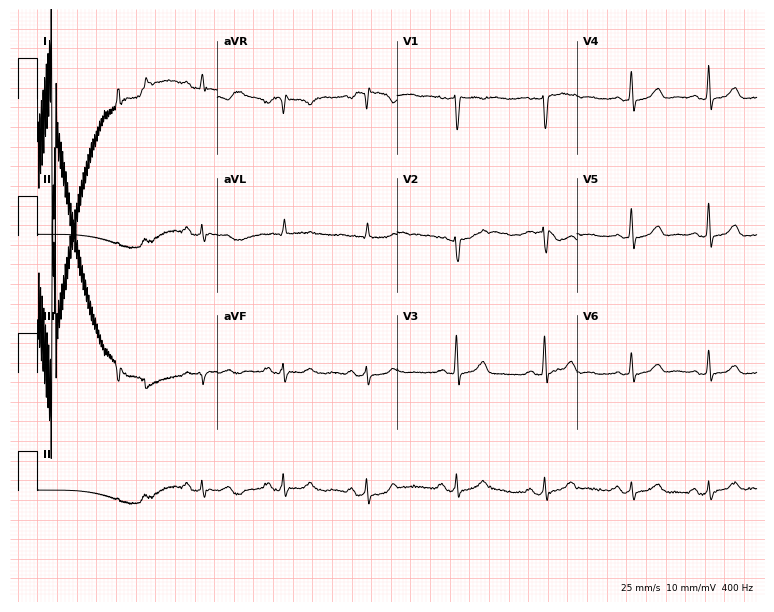
Resting 12-lead electrocardiogram (7.3-second recording at 400 Hz). Patient: a female, 44 years old. Read as a normal ECG.